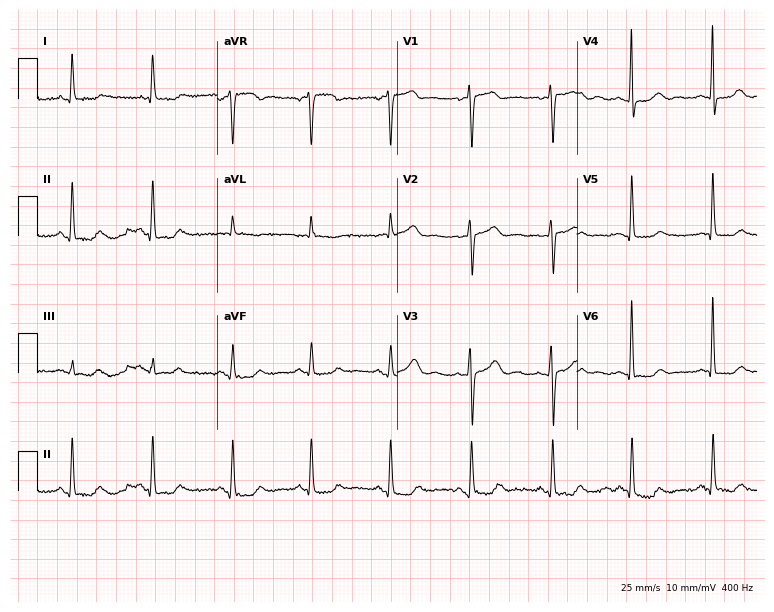
12-lead ECG (7.3-second recording at 400 Hz) from a female, 68 years old. Screened for six findings — first-degree AV block, right bundle branch block, left bundle branch block, sinus bradycardia, atrial fibrillation, sinus tachycardia — none is recorded. Findings outside these six are not listed.